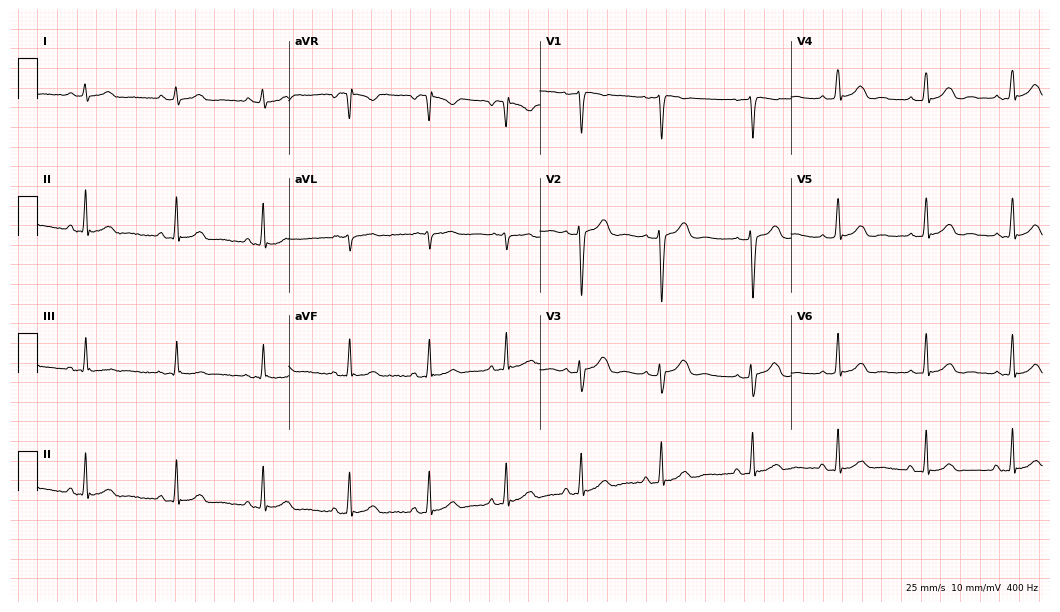
12-lead ECG (10.2-second recording at 400 Hz) from a 21-year-old woman. Labelled as a normal ECG.